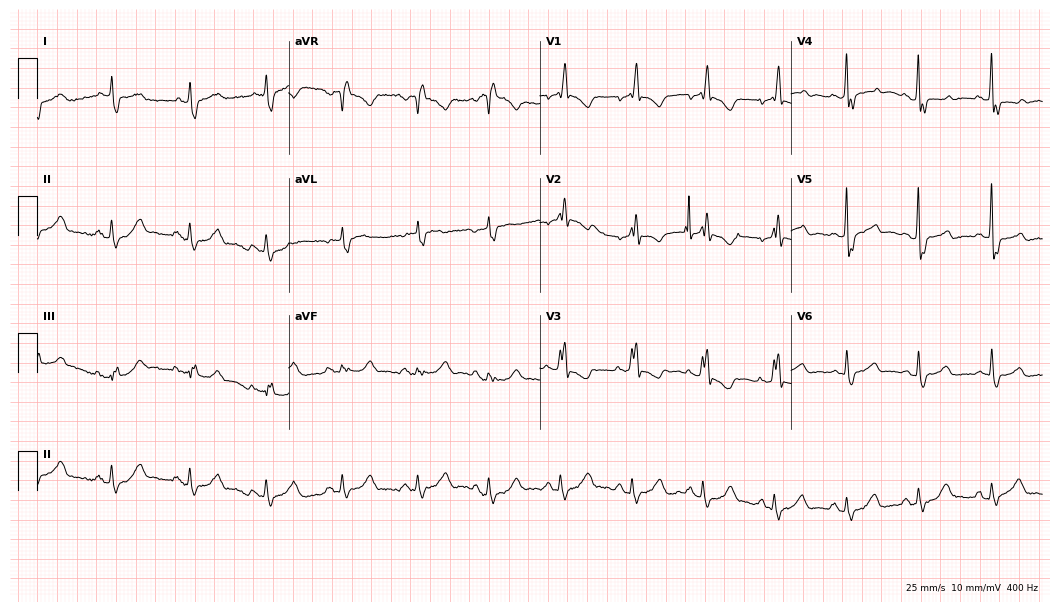
Resting 12-lead electrocardiogram. Patient: a female, 81 years old. The tracing shows right bundle branch block.